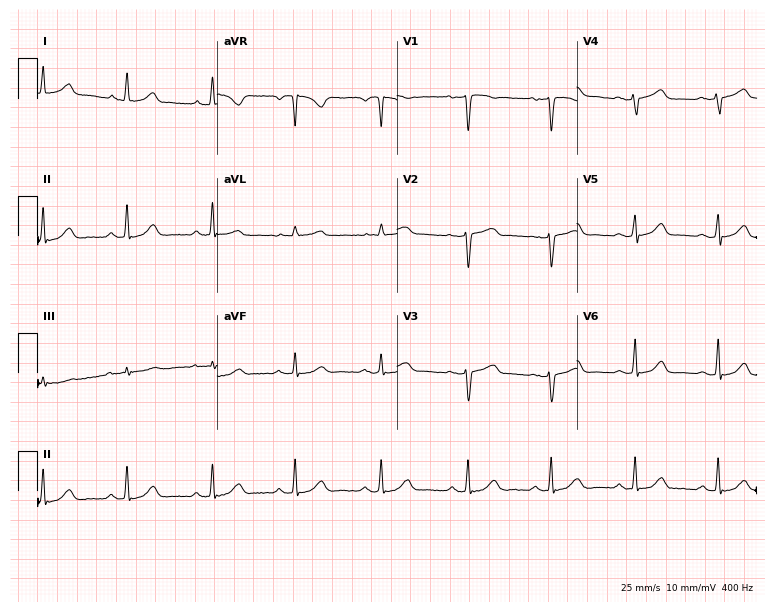
12-lead ECG from a 46-year-old female. No first-degree AV block, right bundle branch block (RBBB), left bundle branch block (LBBB), sinus bradycardia, atrial fibrillation (AF) or sinus tachycardia recorded for this tracing. Only these six findings were labelled.